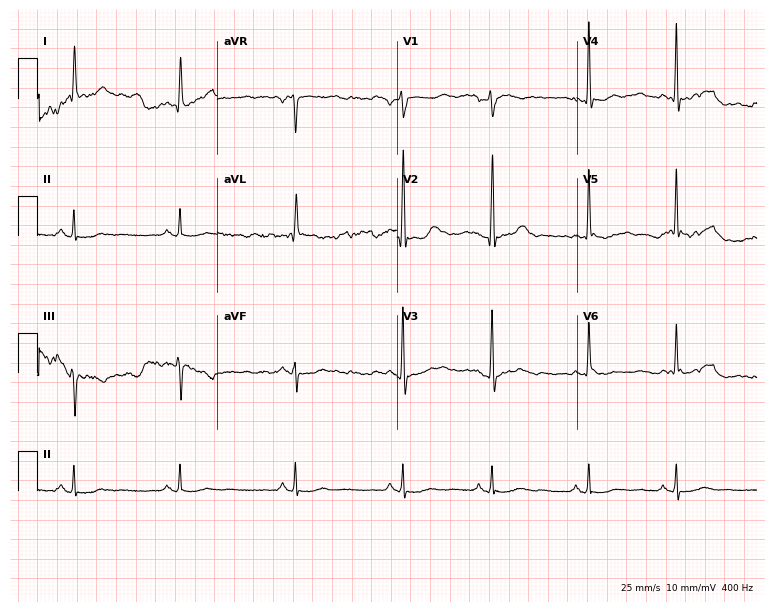
12-lead ECG from a woman, 65 years old. Screened for six findings — first-degree AV block, right bundle branch block, left bundle branch block, sinus bradycardia, atrial fibrillation, sinus tachycardia — none is recorded. Findings outside these six are not listed.